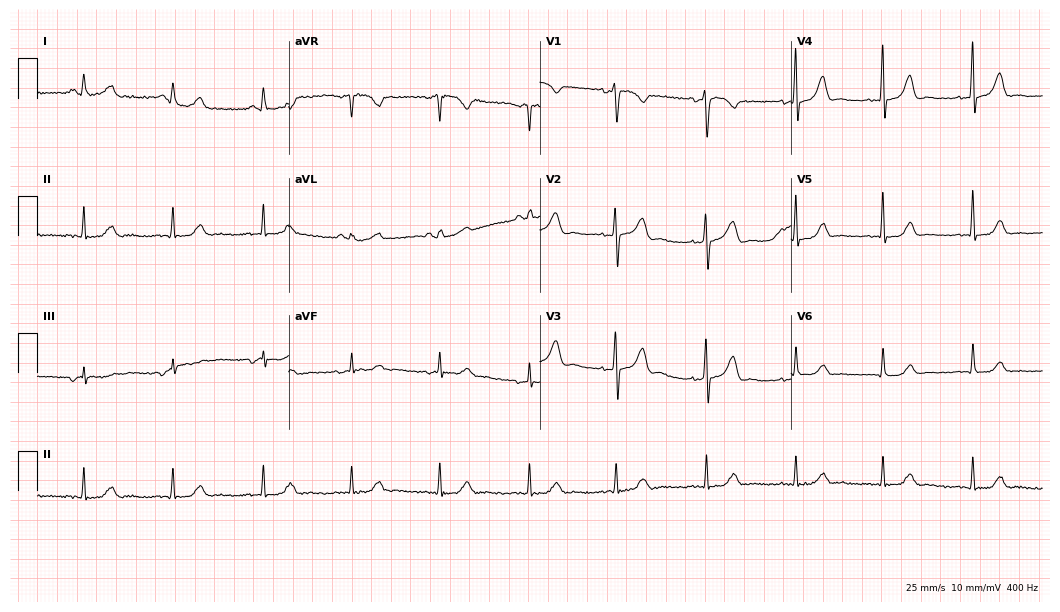
Resting 12-lead electrocardiogram. Patient: a female, 48 years old. None of these six findings is recorded: first-degree AV block, right bundle branch block, left bundle branch block, sinus bradycardia, atrial fibrillation, sinus tachycardia. Other findings, if any, are not listed.